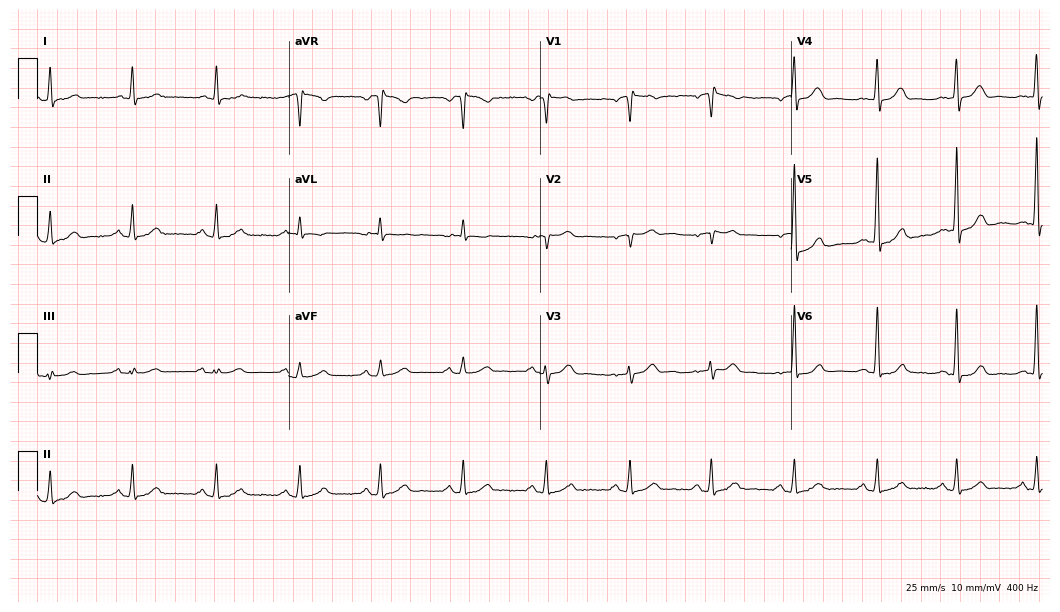
12-lead ECG (10.2-second recording at 400 Hz) from a male, 56 years old. Screened for six findings — first-degree AV block, right bundle branch block, left bundle branch block, sinus bradycardia, atrial fibrillation, sinus tachycardia — none is recorded.